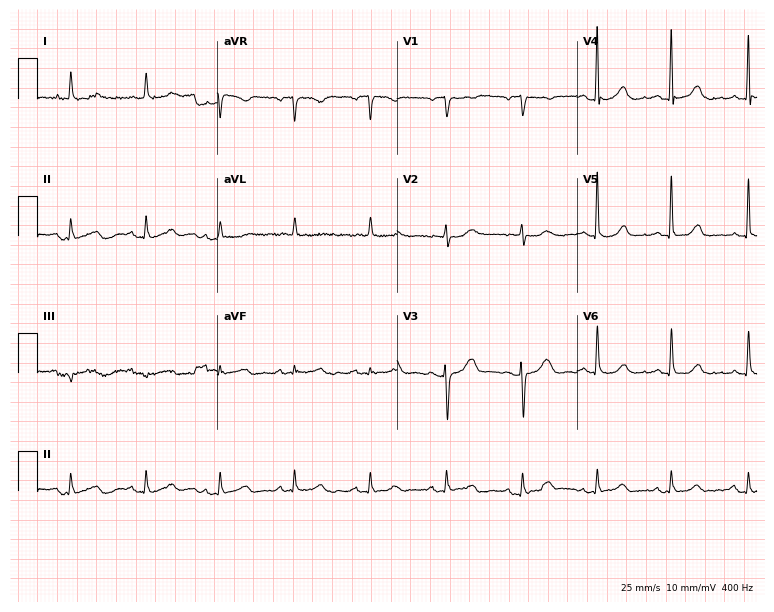
Standard 12-lead ECG recorded from a female, 84 years old. Read as a normal ECG.